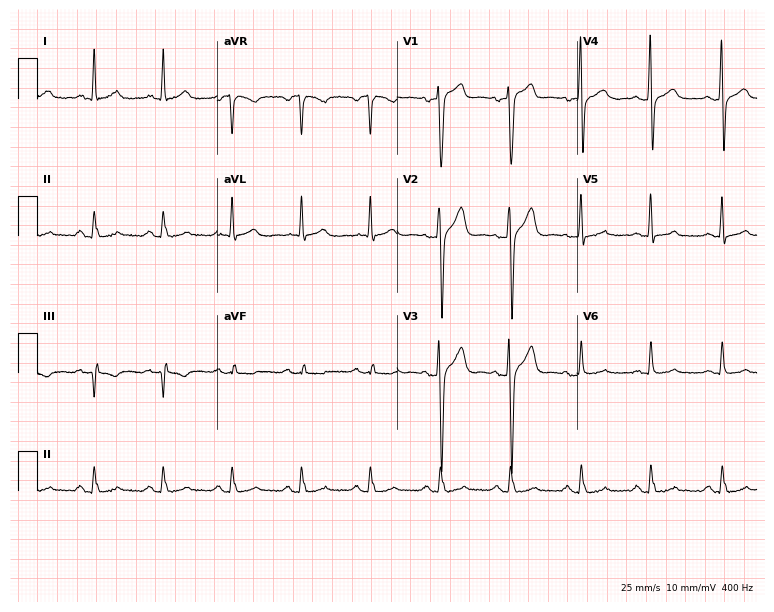
12-lead ECG from a male patient, 47 years old. Recorded interpretation: within normal limits.